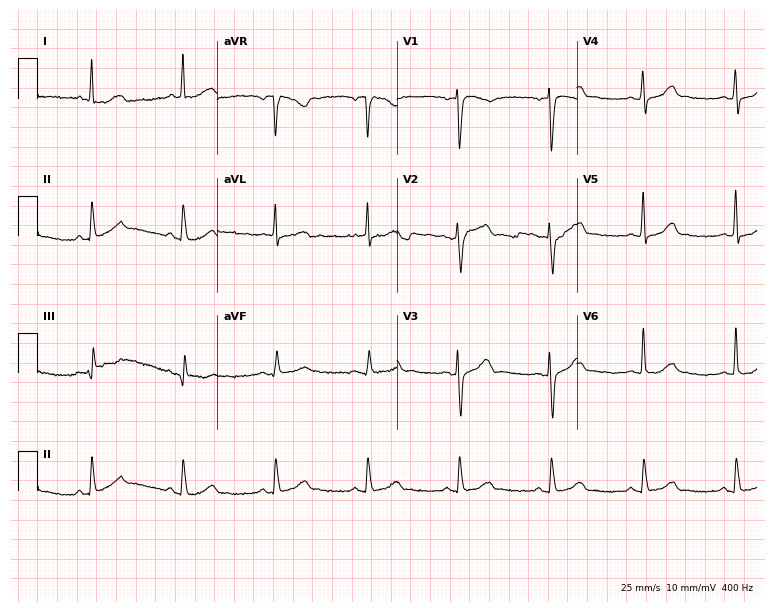
12-lead ECG from a 64-year-old female patient. Labelled as a normal ECG.